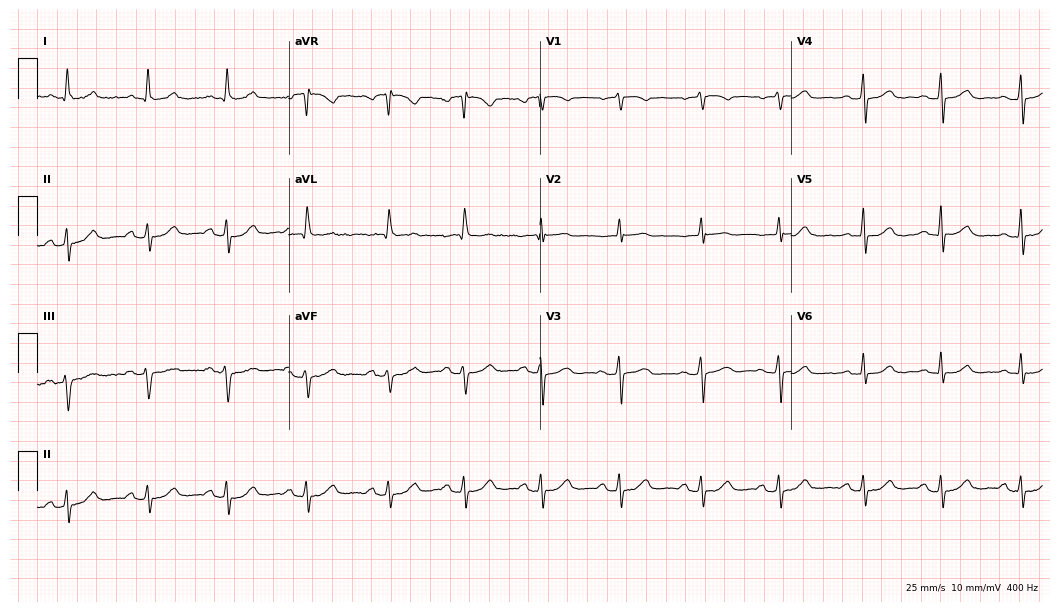
Electrocardiogram, a female patient, 77 years old. Overall reading on record: normal ECG.